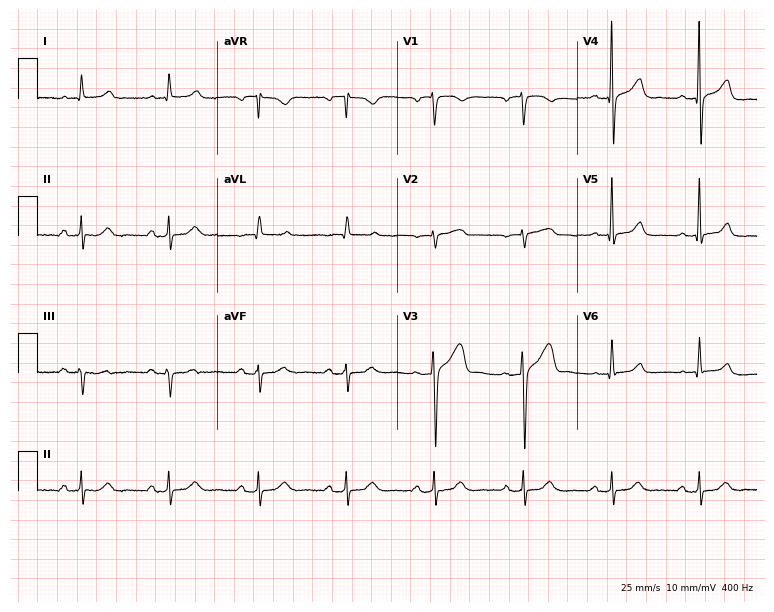
12-lead ECG (7.3-second recording at 400 Hz) from a 61-year-old male patient. Screened for six findings — first-degree AV block, right bundle branch block, left bundle branch block, sinus bradycardia, atrial fibrillation, sinus tachycardia — none is recorded. Only these six findings were labelled.